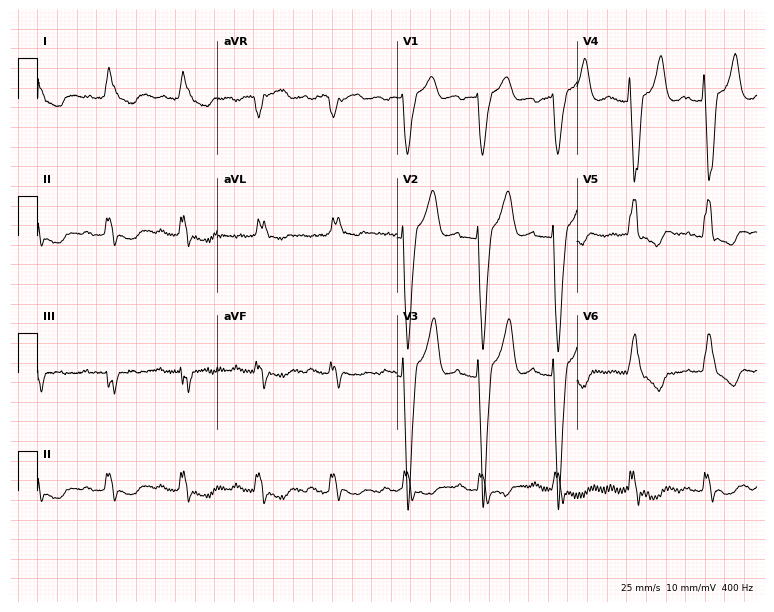
ECG — a male, 80 years old. Findings include first-degree AV block, left bundle branch block.